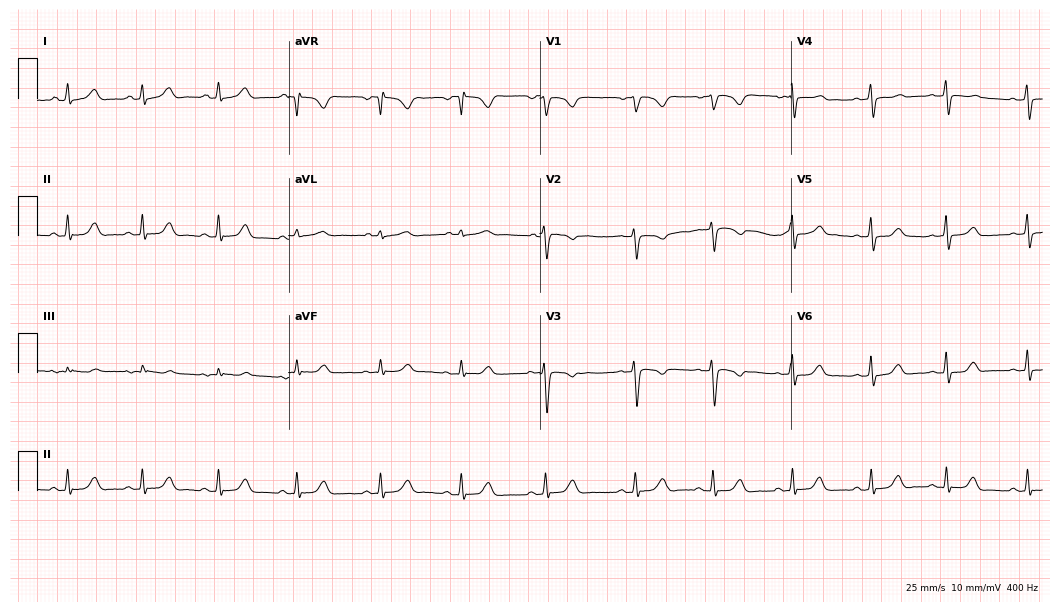
12-lead ECG from a woman, 25 years old (10.2-second recording at 400 Hz). Recorded interpretation: within normal limits.